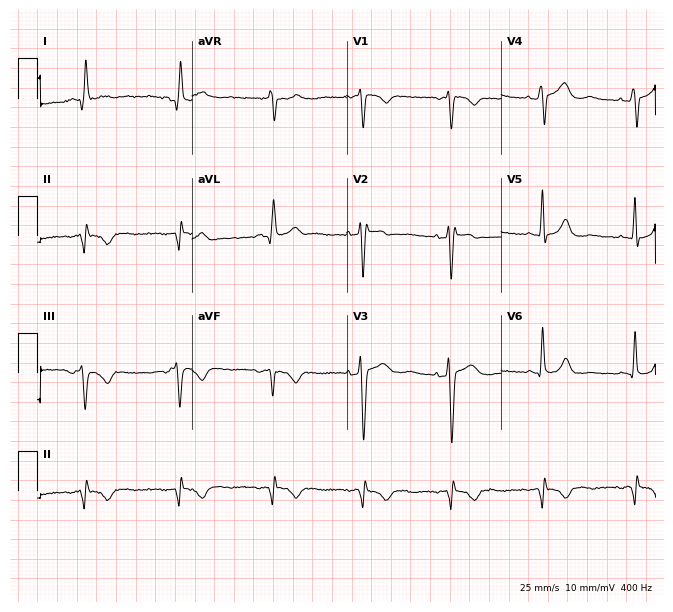
ECG — a 44-year-old male. Screened for six findings — first-degree AV block, right bundle branch block (RBBB), left bundle branch block (LBBB), sinus bradycardia, atrial fibrillation (AF), sinus tachycardia — none is recorded. Other findings, if any, are not listed.